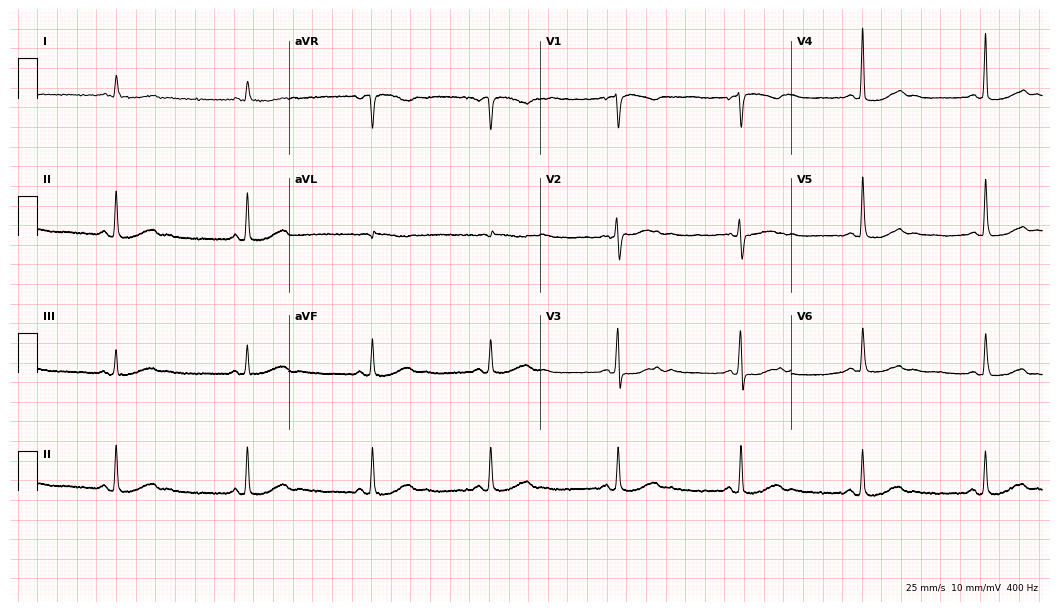
Electrocardiogram, a 67-year-old female patient. Interpretation includes sinus bradycardia (a sinus rate of 50 beats per minute or less).